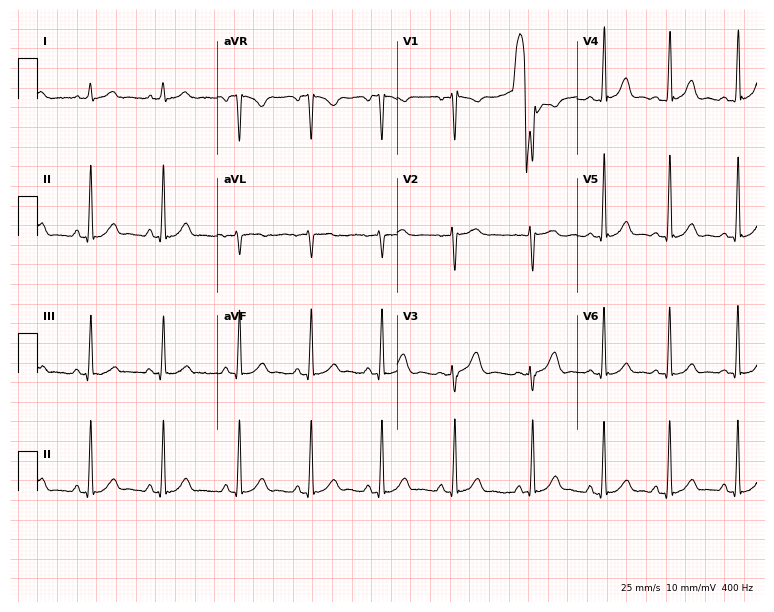
ECG — a 27-year-old female. Screened for six findings — first-degree AV block, right bundle branch block, left bundle branch block, sinus bradycardia, atrial fibrillation, sinus tachycardia — none is recorded.